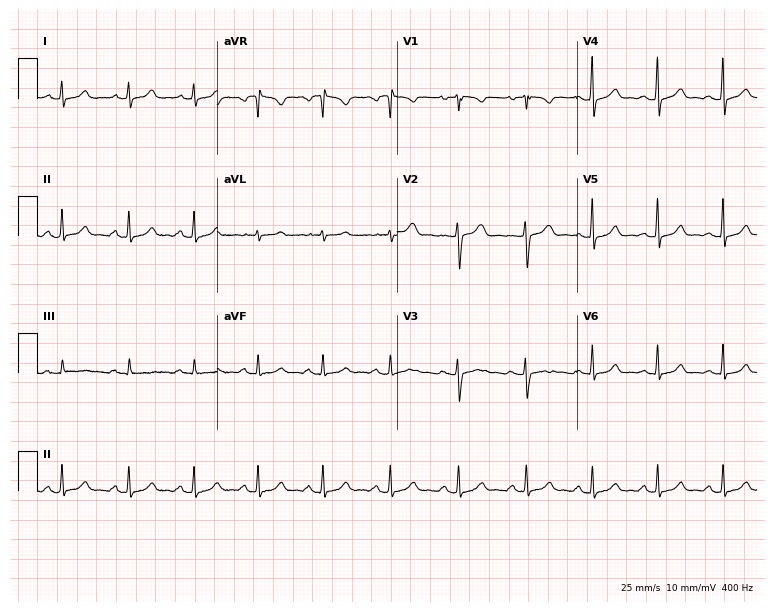
Resting 12-lead electrocardiogram. Patient: a 17-year-old female. Read as a normal ECG.